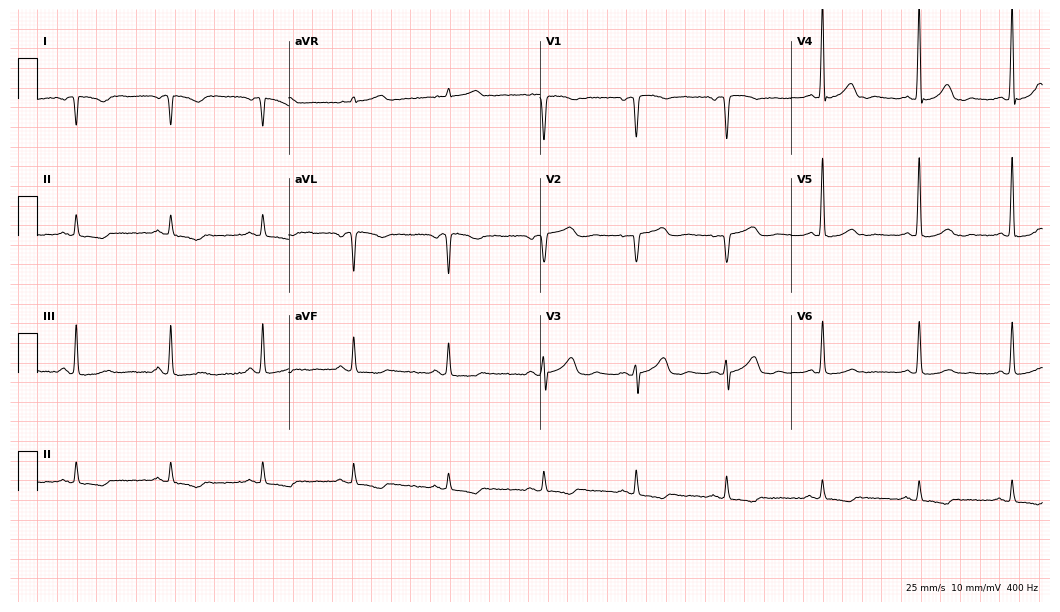
12-lead ECG from a 60-year-old female. No first-degree AV block, right bundle branch block, left bundle branch block, sinus bradycardia, atrial fibrillation or sinus tachycardia recorded for this tracing.